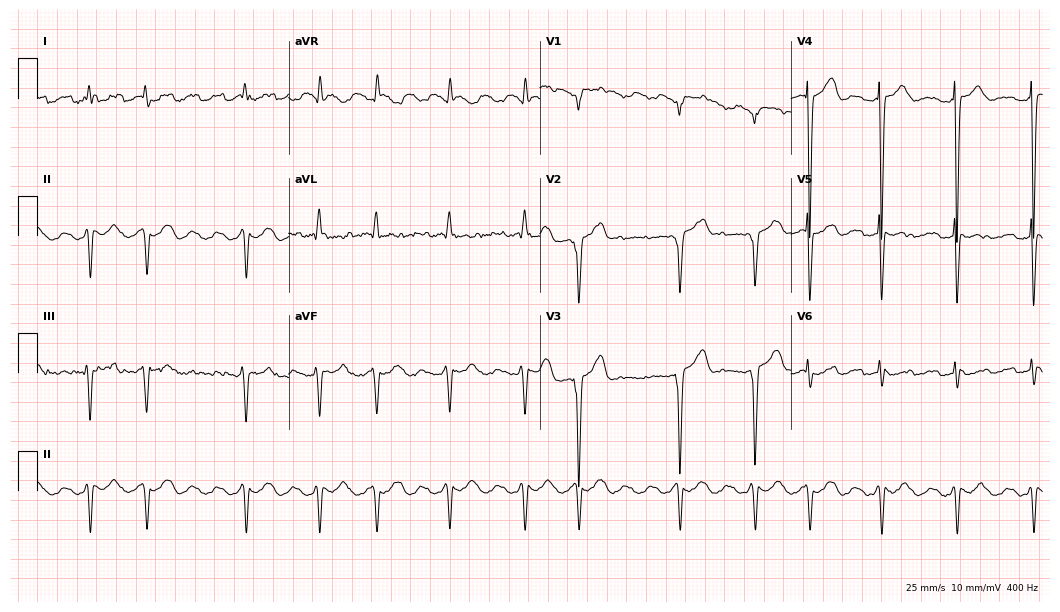
ECG — a male, 49 years old. Screened for six findings — first-degree AV block, right bundle branch block, left bundle branch block, sinus bradycardia, atrial fibrillation, sinus tachycardia — none is recorded. Findings outside these six are not listed.